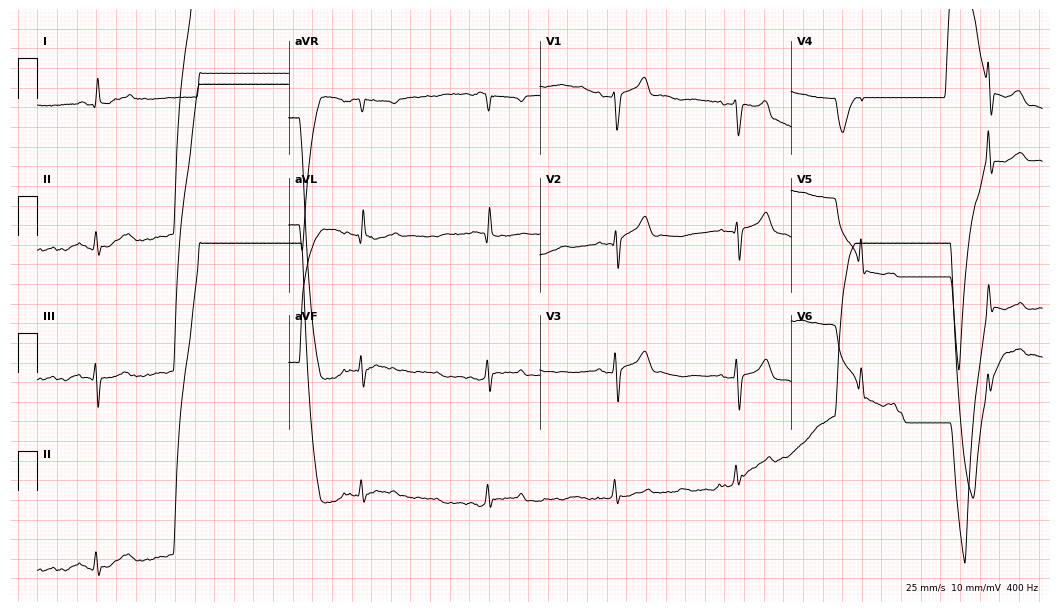
Resting 12-lead electrocardiogram. Patient: a 47-year-old man. Read as a normal ECG.